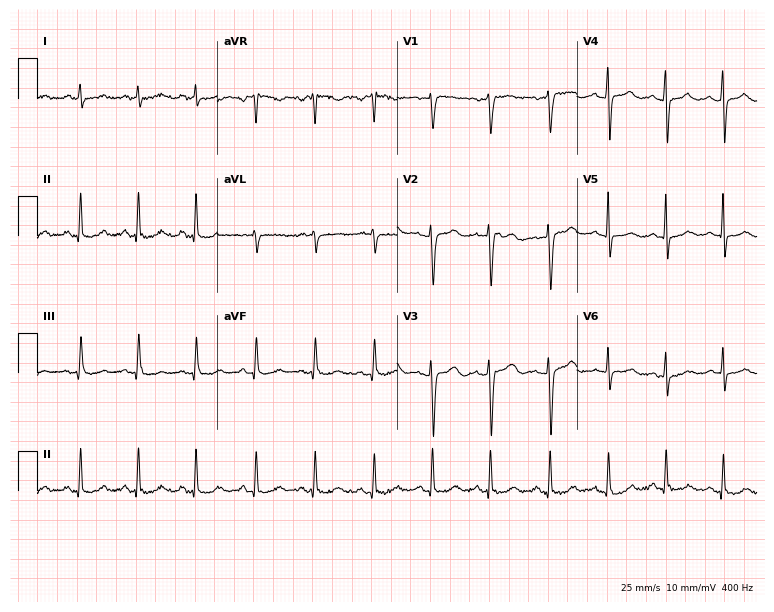
Standard 12-lead ECG recorded from a female, 62 years old (7.3-second recording at 400 Hz). None of these six findings is recorded: first-degree AV block, right bundle branch block, left bundle branch block, sinus bradycardia, atrial fibrillation, sinus tachycardia. Other findings, if any, are not listed.